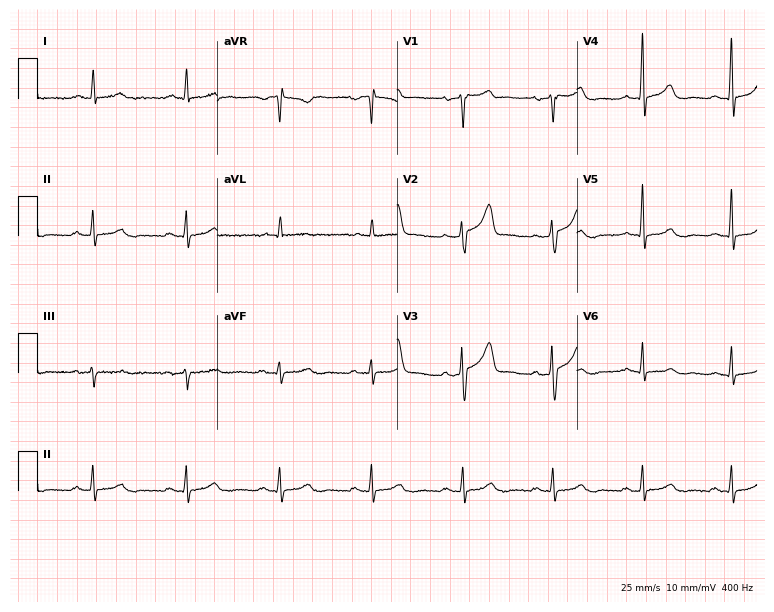
Resting 12-lead electrocardiogram. Patient: a 58-year-old male. Read as a normal ECG.